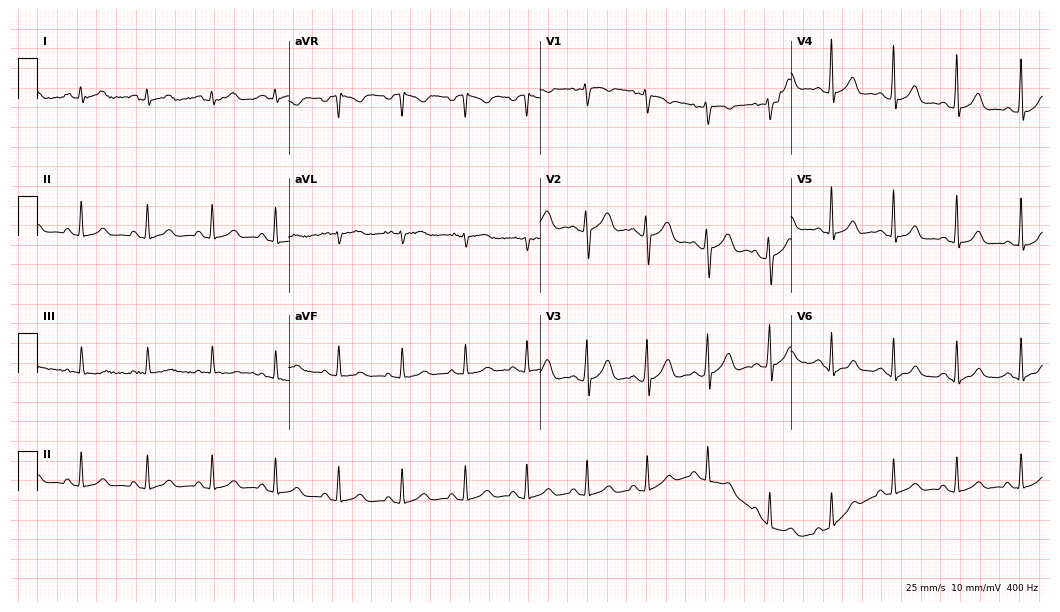
ECG — a 25-year-old woman. Labelled as a normal ECG.